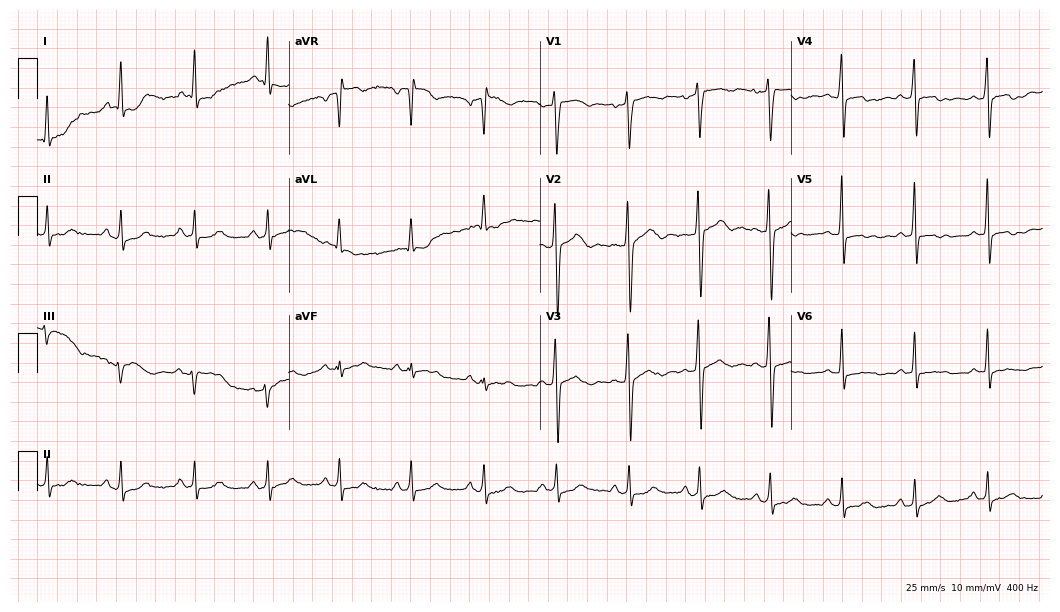
Standard 12-lead ECG recorded from a 49-year-old woman (10.2-second recording at 400 Hz). None of these six findings is recorded: first-degree AV block, right bundle branch block (RBBB), left bundle branch block (LBBB), sinus bradycardia, atrial fibrillation (AF), sinus tachycardia. Other findings, if any, are not listed.